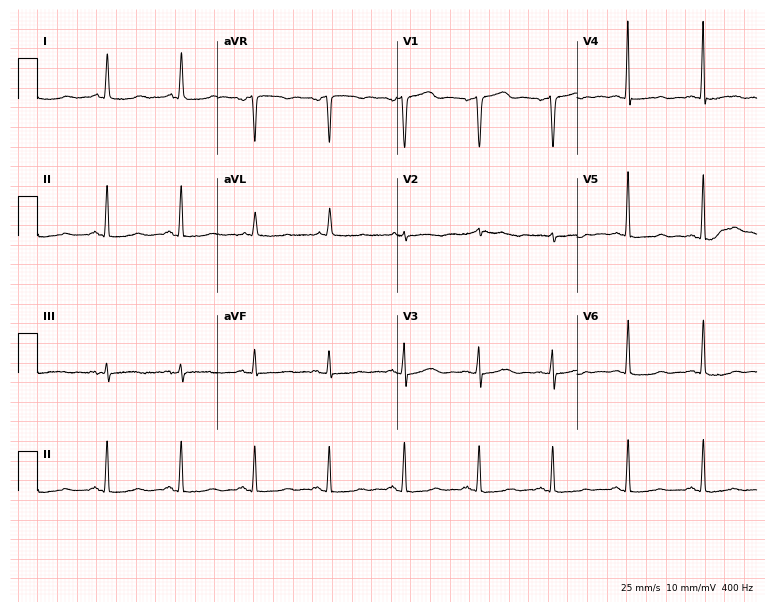
Standard 12-lead ECG recorded from a 65-year-old woman. None of these six findings is recorded: first-degree AV block, right bundle branch block, left bundle branch block, sinus bradycardia, atrial fibrillation, sinus tachycardia.